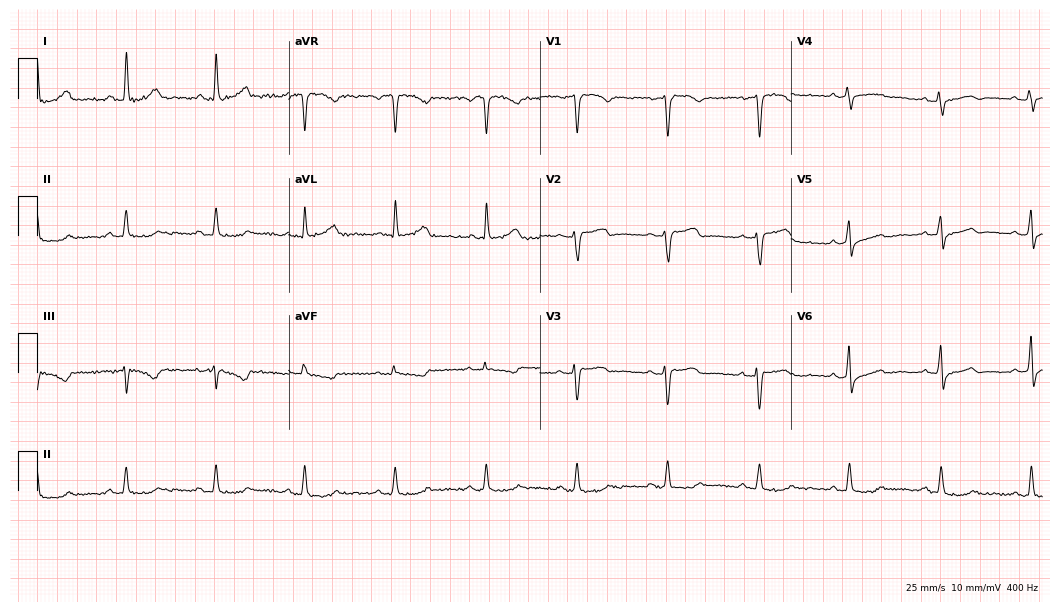
Standard 12-lead ECG recorded from a woman, 59 years old (10.2-second recording at 400 Hz). Read as a normal ECG.